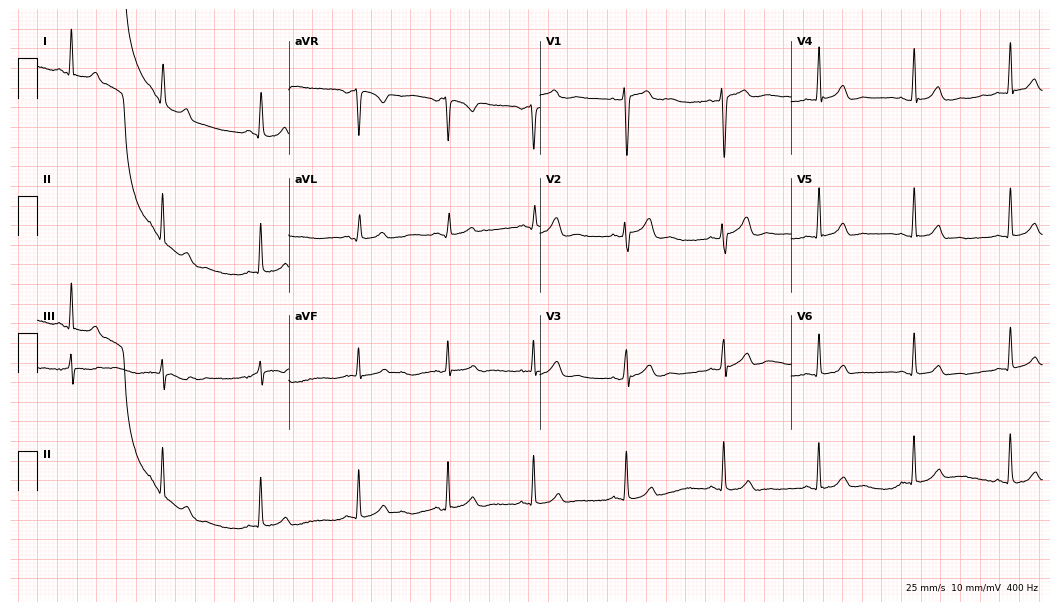
12-lead ECG from a woman, 20 years old. Recorded interpretation: within normal limits.